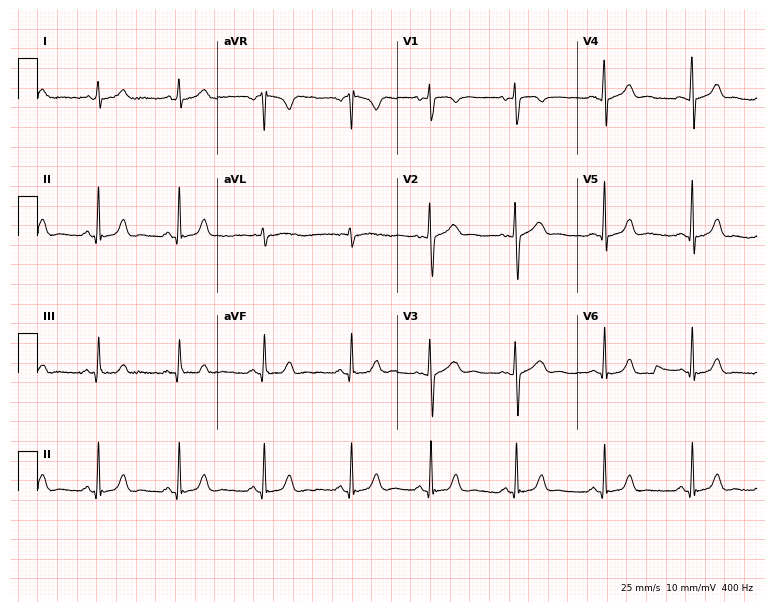
Electrocardiogram (7.3-second recording at 400 Hz), a female patient, 27 years old. Overall reading on record: normal ECG.